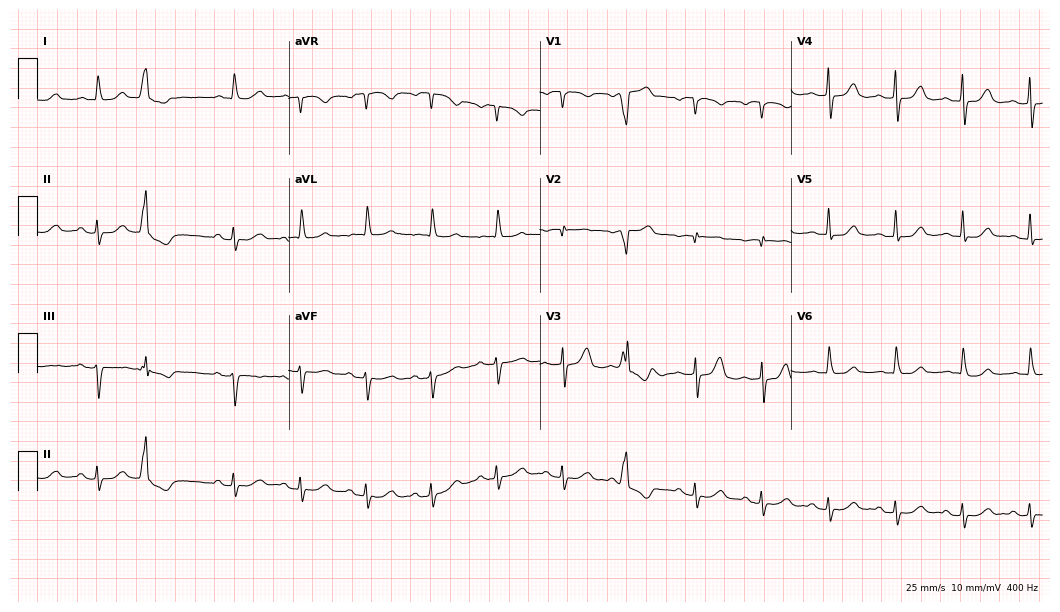
Electrocardiogram (10.2-second recording at 400 Hz), a woman, 72 years old. Of the six screened findings (first-degree AV block, right bundle branch block (RBBB), left bundle branch block (LBBB), sinus bradycardia, atrial fibrillation (AF), sinus tachycardia), none is recorded. Findings outside these six are not listed.